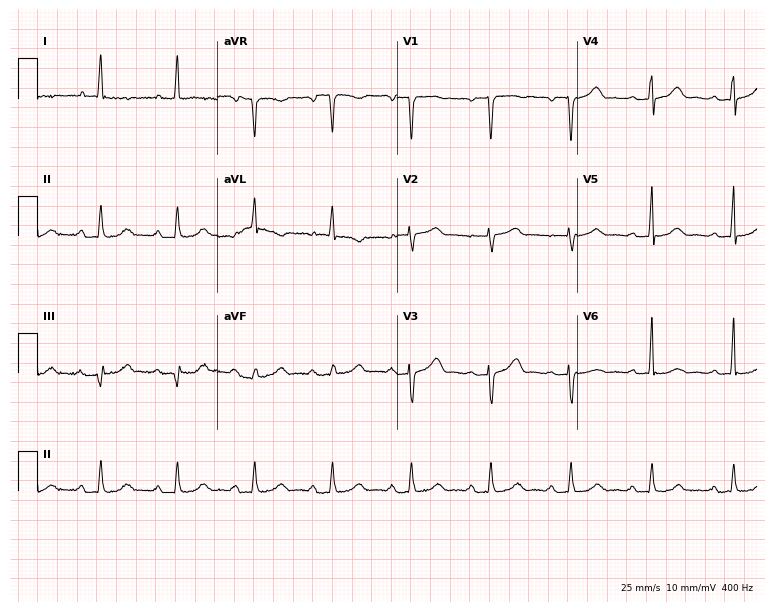
Resting 12-lead electrocardiogram (7.3-second recording at 400 Hz). Patient: a 78-year-old female. None of these six findings is recorded: first-degree AV block, right bundle branch block (RBBB), left bundle branch block (LBBB), sinus bradycardia, atrial fibrillation (AF), sinus tachycardia. Other findings, if any, are not listed.